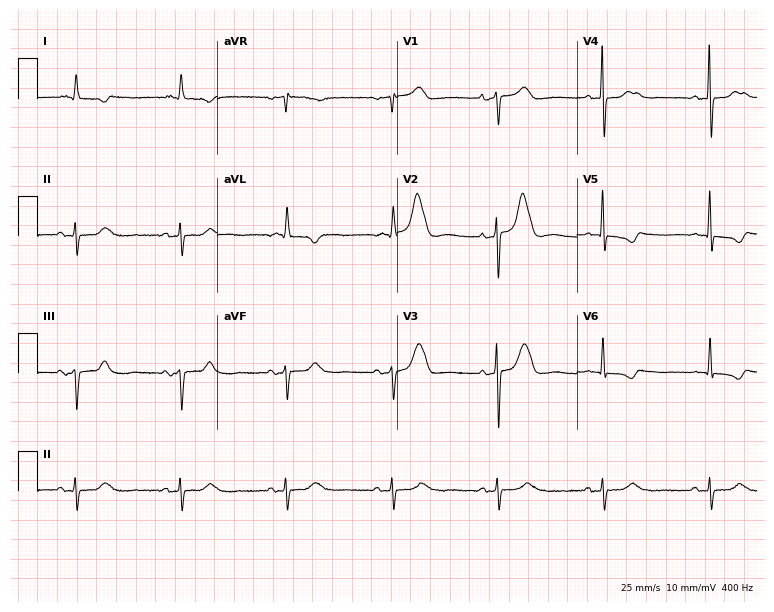
12-lead ECG from an 86-year-old female patient. No first-degree AV block, right bundle branch block (RBBB), left bundle branch block (LBBB), sinus bradycardia, atrial fibrillation (AF) or sinus tachycardia recorded for this tracing. Findings outside these six are not listed.